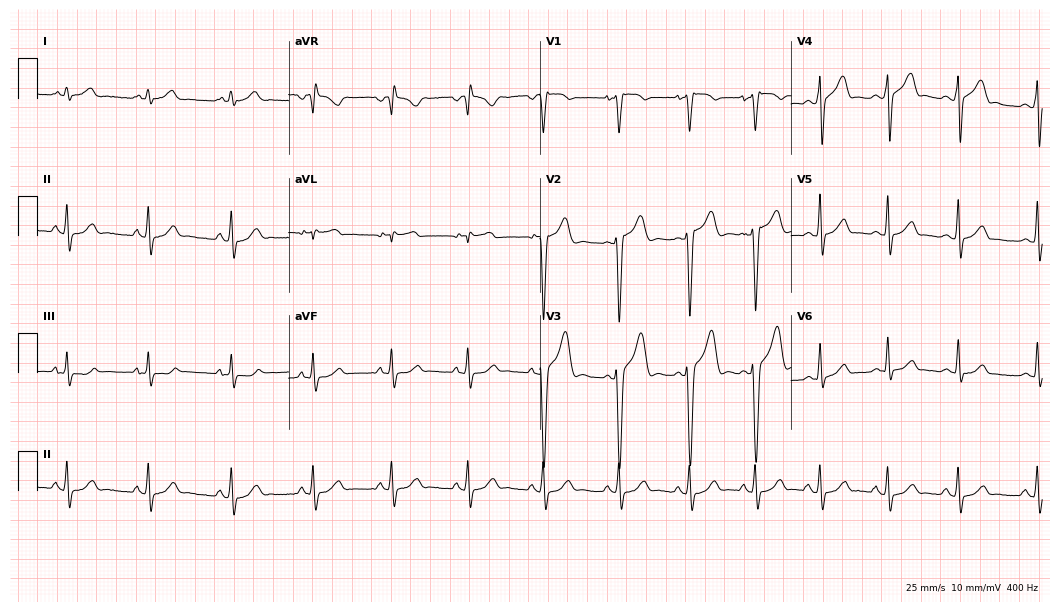
12-lead ECG (10.2-second recording at 400 Hz) from a man, 26 years old. Labelled as a normal ECG.